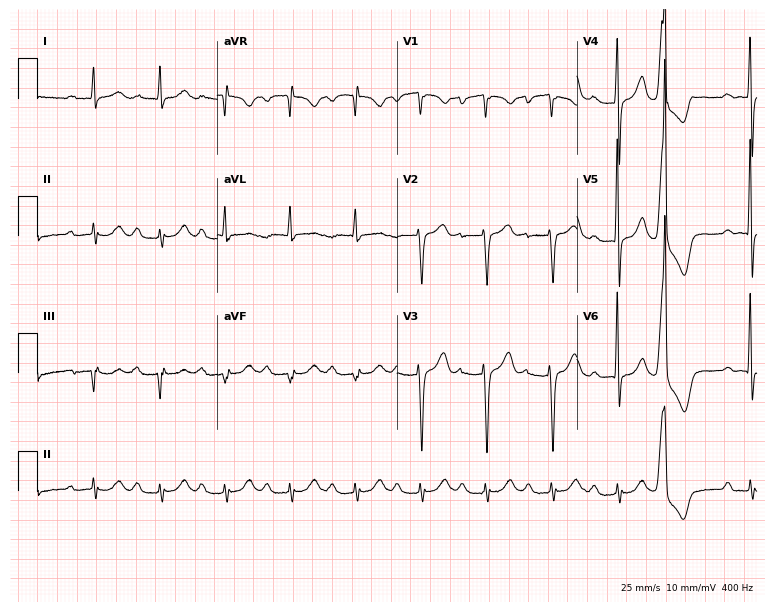
Electrocardiogram (7.3-second recording at 400 Hz), a man, 87 years old. Interpretation includes first-degree AV block.